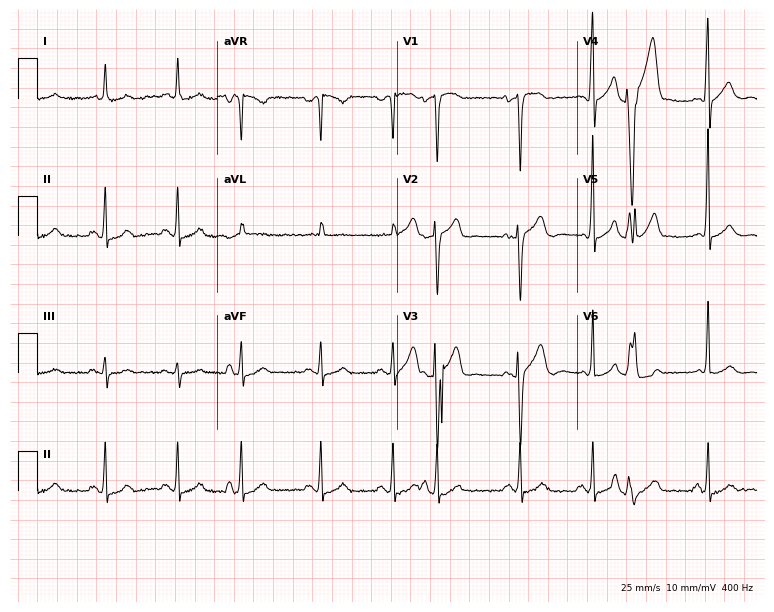
Resting 12-lead electrocardiogram. Patient: a 69-year-old male. None of these six findings is recorded: first-degree AV block, right bundle branch block, left bundle branch block, sinus bradycardia, atrial fibrillation, sinus tachycardia.